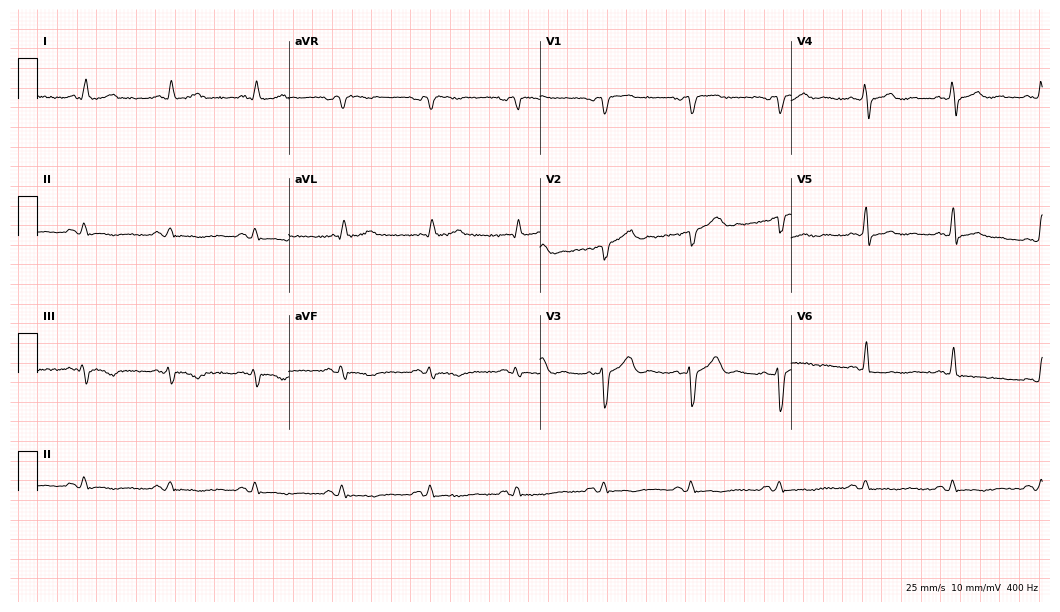
ECG (10.2-second recording at 400 Hz) — a 59-year-old male. Labelled as a normal ECG.